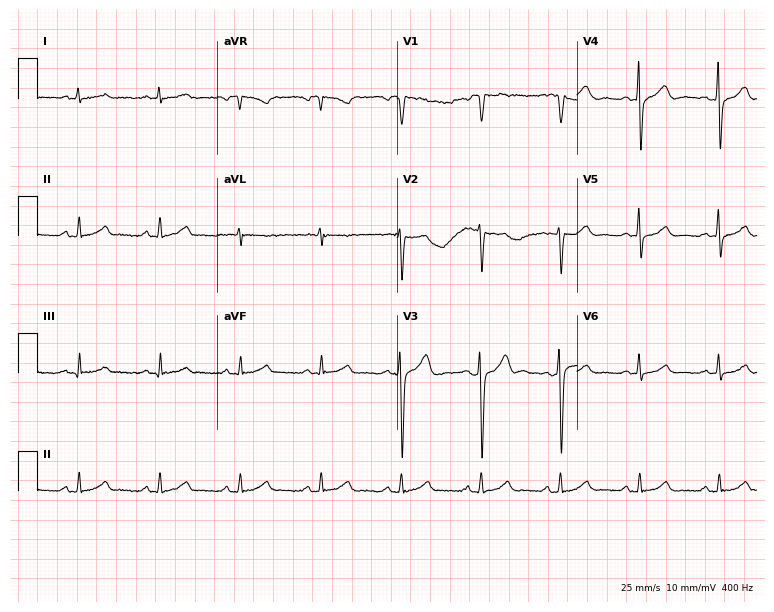
Electrocardiogram, a 65-year-old man. Overall reading on record: normal ECG.